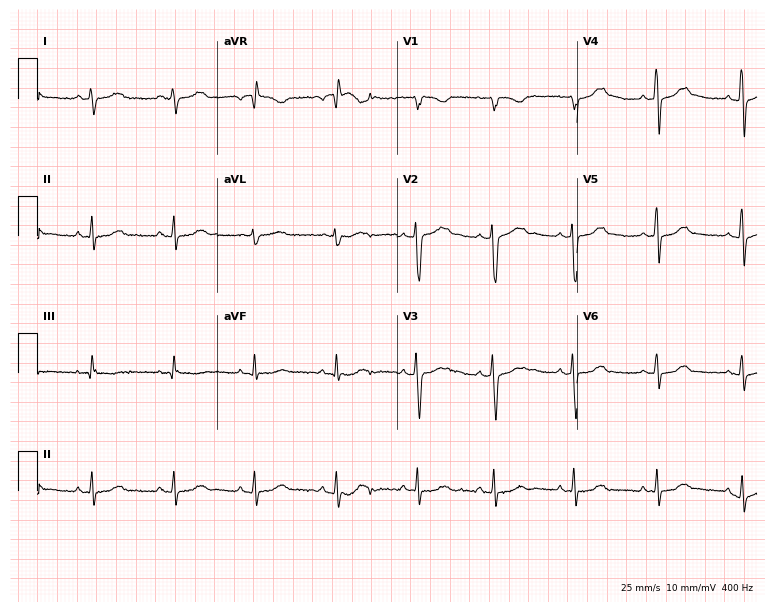
Standard 12-lead ECG recorded from a female patient, 20 years old (7.3-second recording at 400 Hz). None of these six findings is recorded: first-degree AV block, right bundle branch block (RBBB), left bundle branch block (LBBB), sinus bradycardia, atrial fibrillation (AF), sinus tachycardia. Findings outside these six are not listed.